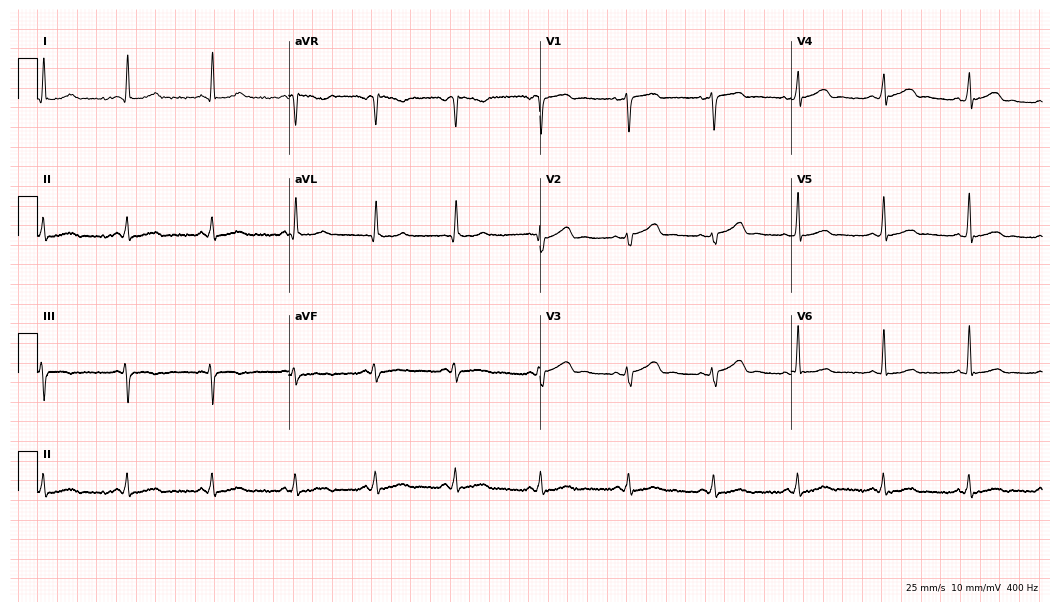
Resting 12-lead electrocardiogram. Patient: a female, 43 years old. Read as a normal ECG.